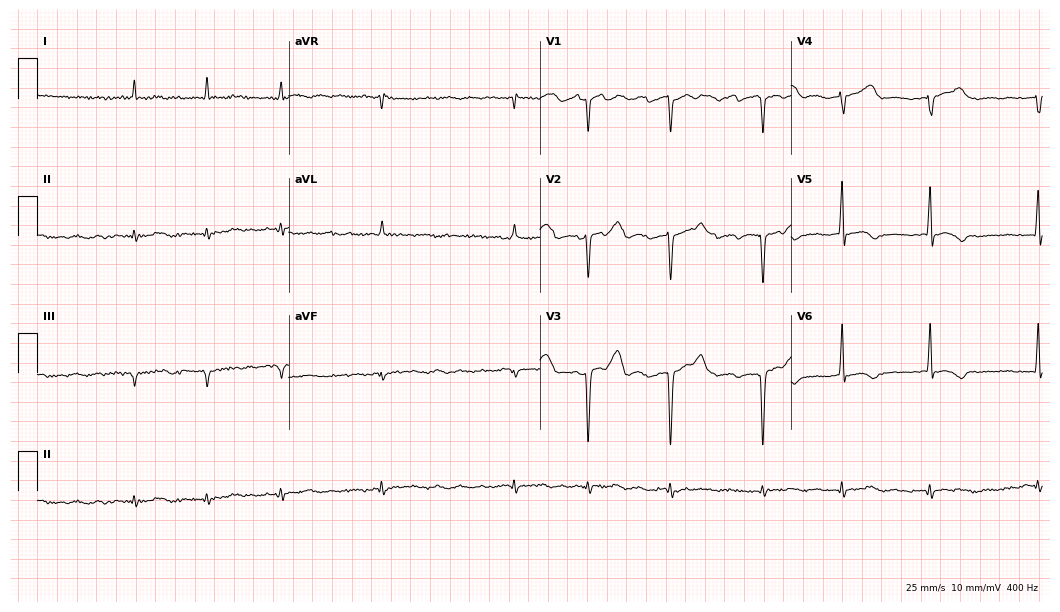
12-lead ECG from a man, 76 years old. Shows atrial fibrillation (AF).